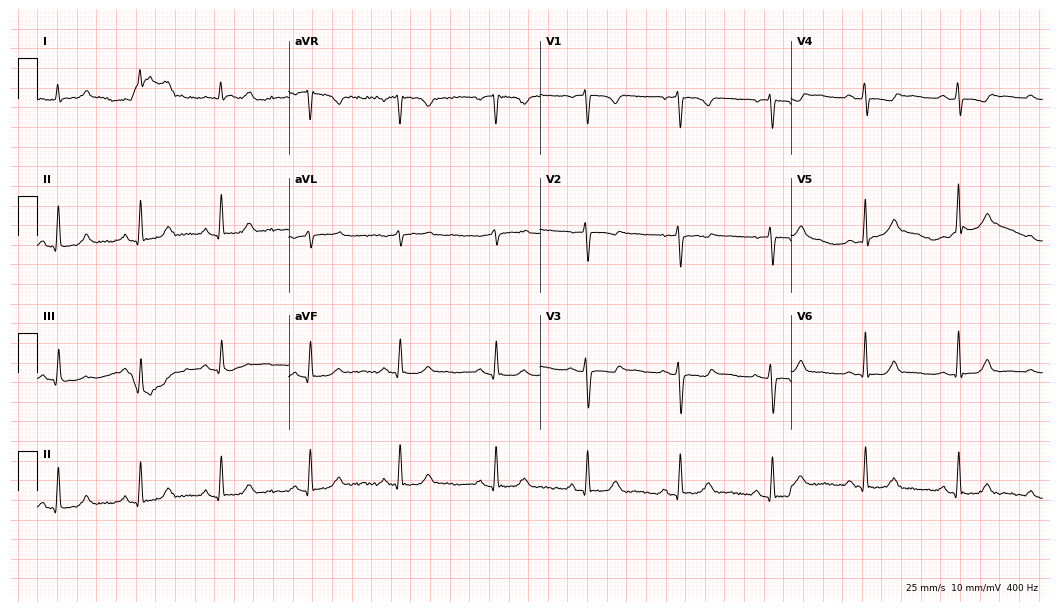
Resting 12-lead electrocardiogram. Patient: a female, 45 years old. None of these six findings is recorded: first-degree AV block, right bundle branch block, left bundle branch block, sinus bradycardia, atrial fibrillation, sinus tachycardia. Findings outside these six are not listed.